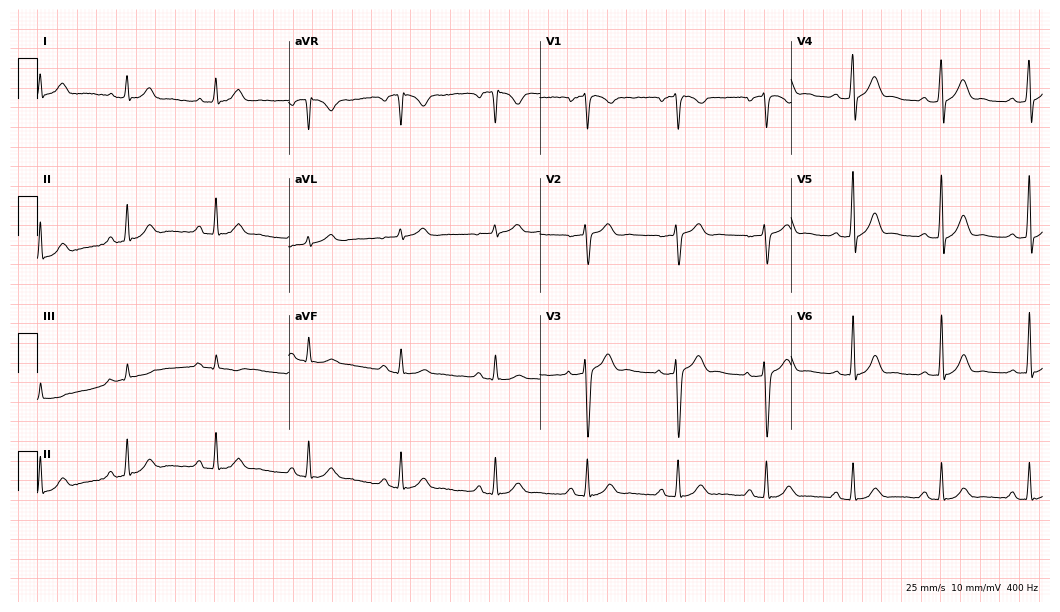
Standard 12-lead ECG recorded from a 27-year-old male. Read as a normal ECG.